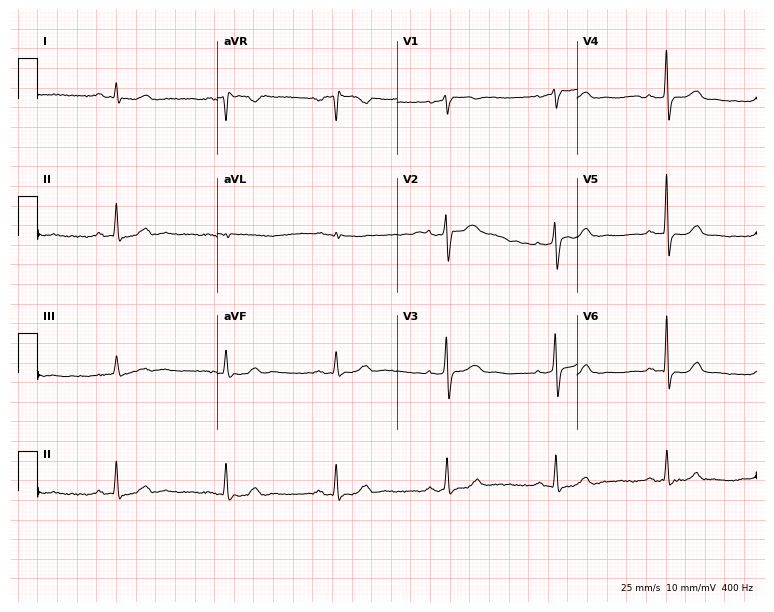
Standard 12-lead ECG recorded from a female patient, 58 years old (7.3-second recording at 400 Hz). None of these six findings is recorded: first-degree AV block, right bundle branch block, left bundle branch block, sinus bradycardia, atrial fibrillation, sinus tachycardia.